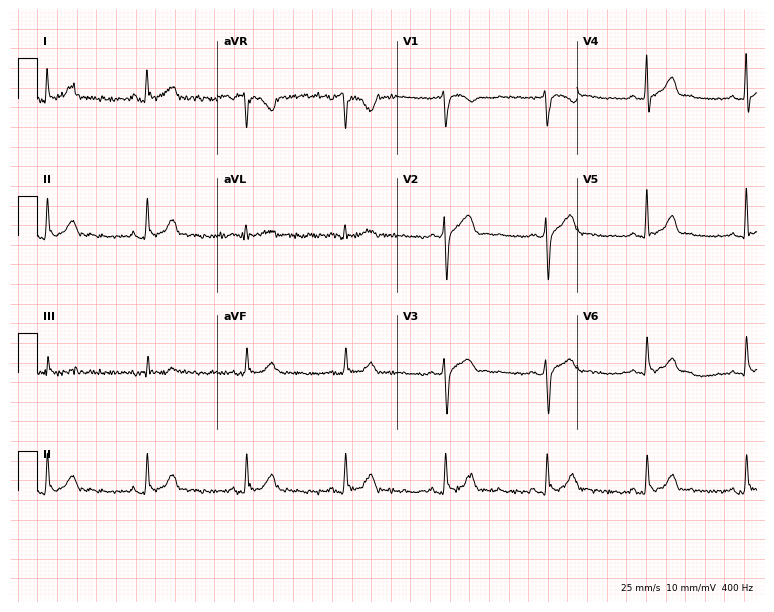
12-lead ECG from a male, 36 years old (7.3-second recording at 400 Hz). No first-degree AV block, right bundle branch block (RBBB), left bundle branch block (LBBB), sinus bradycardia, atrial fibrillation (AF) or sinus tachycardia recorded for this tracing. Only these six findings were labelled.